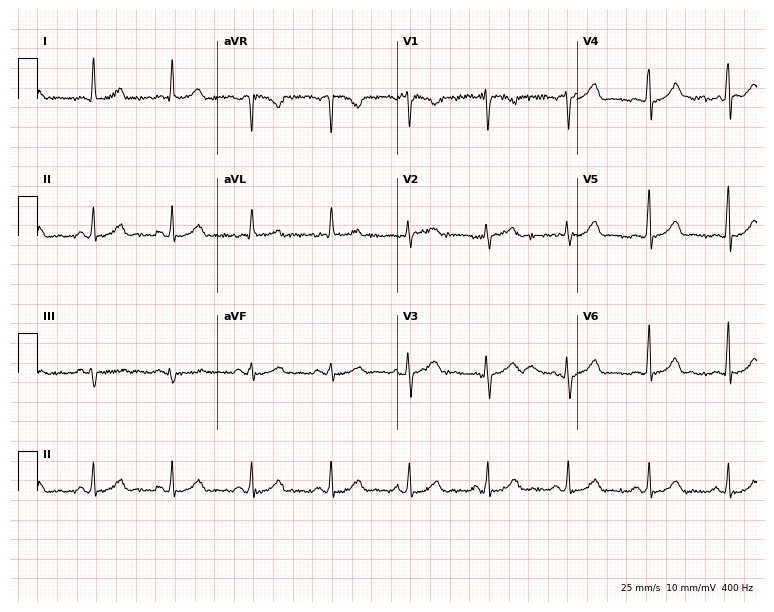
12-lead ECG from a 50-year-old female. Labelled as a normal ECG.